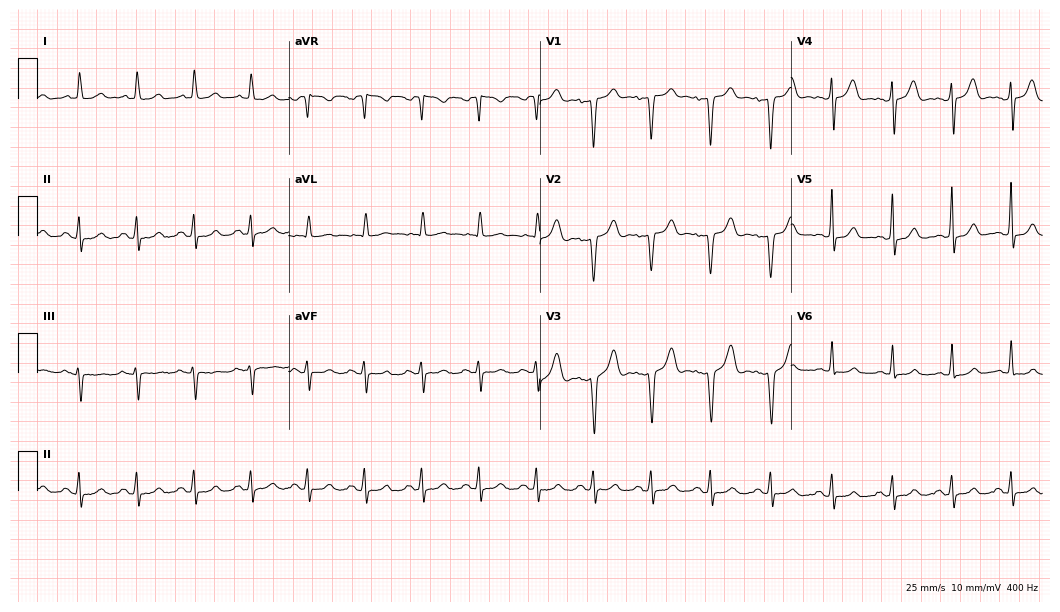
12-lead ECG (10.2-second recording at 400 Hz) from a female patient, 50 years old. Screened for six findings — first-degree AV block, right bundle branch block, left bundle branch block, sinus bradycardia, atrial fibrillation, sinus tachycardia — none is recorded.